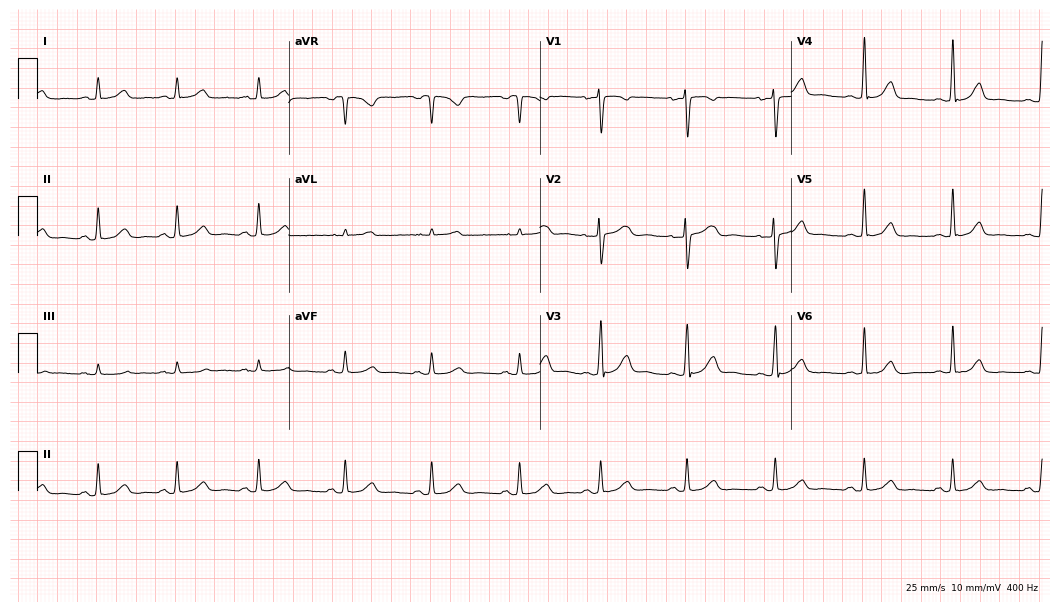
ECG — a female, 40 years old. Screened for six findings — first-degree AV block, right bundle branch block (RBBB), left bundle branch block (LBBB), sinus bradycardia, atrial fibrillation (AF), sinus tachycardia — none is recorded. Findings outside these six are not listed.